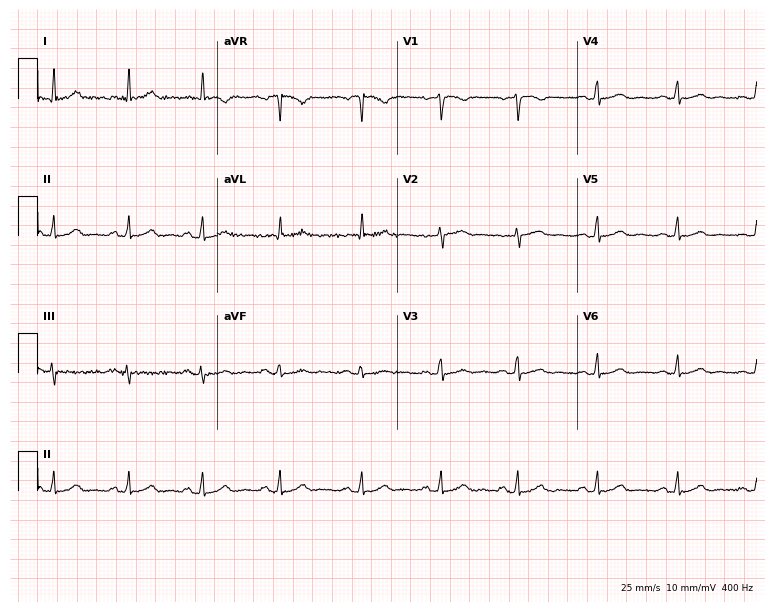
12-lead ECG from a 48-year-old woman (7.3-second recording at 400 Hz). Recorded interpretation: within normal limits.